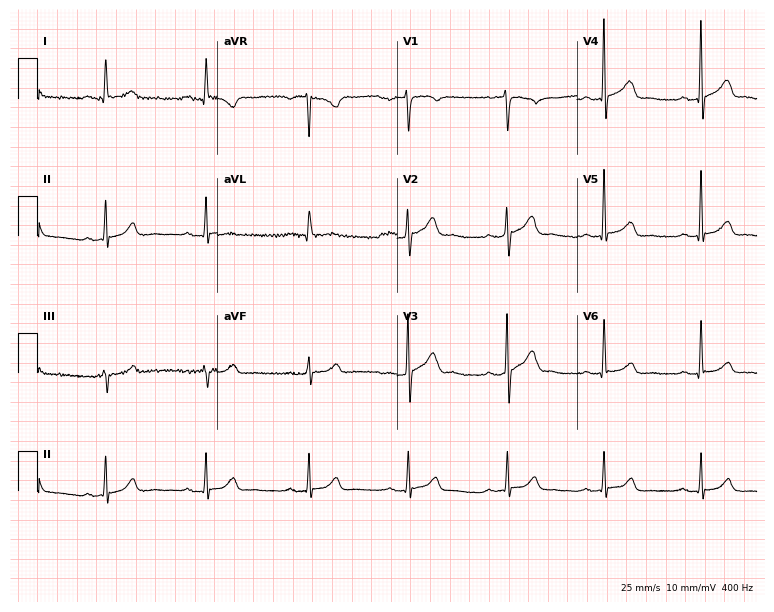
Resting 12-lead electrocardiogram. Patient: a male, 52 years old. None of these six findings is recorded: first-degree AV block, right bundle branch block (RBBB), left bundle branch block (LBBB), sinus bradycardia, atrial fibrillation (AF), sinus tachycardia.